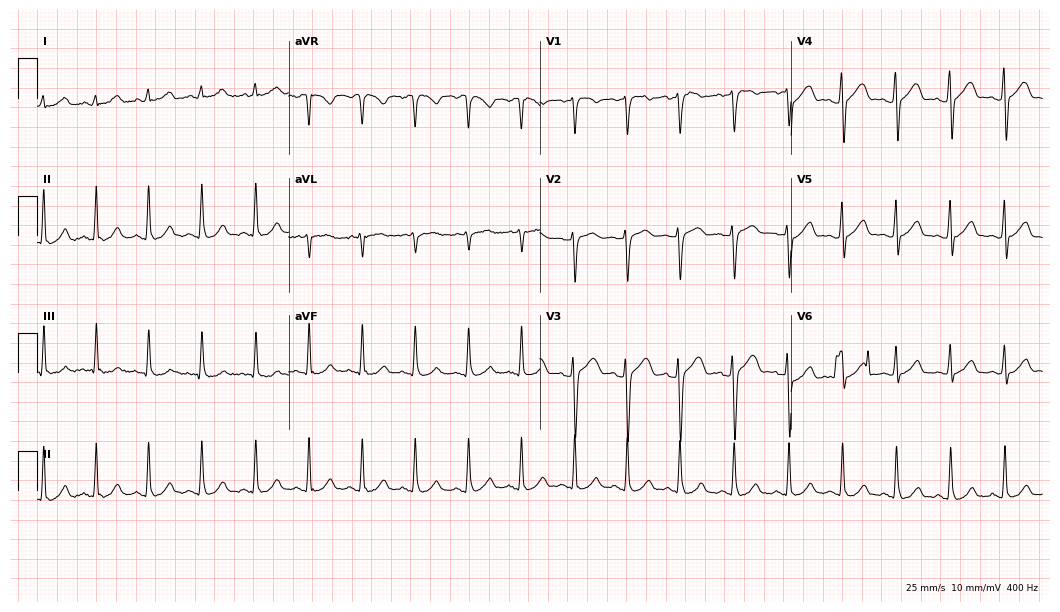
Electrocardiogram (10.2-second recording at 400 Hz), a male patient, 22 years old. Interpretation includes sinus tachycardia (a sinus rate of 100 beats per minute or more).